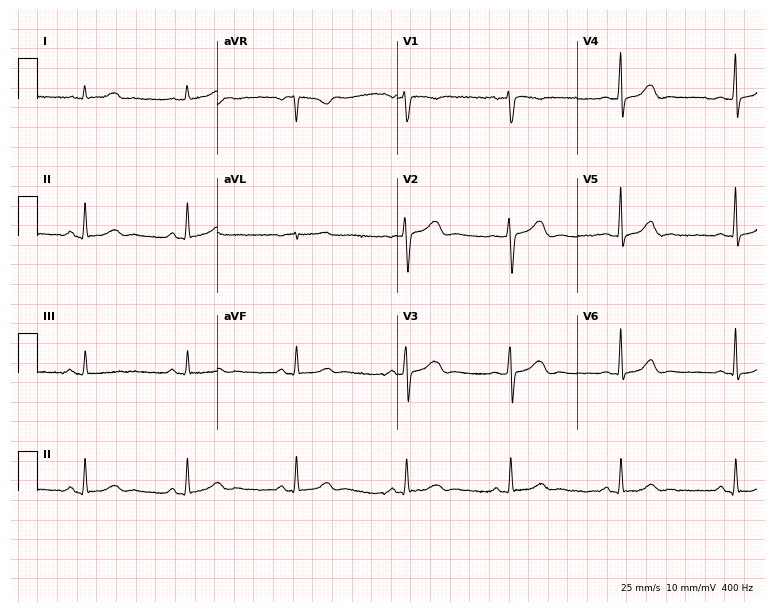
12-lead ECG from a female, 43 years old. Recorded interpretation: within normal limits.